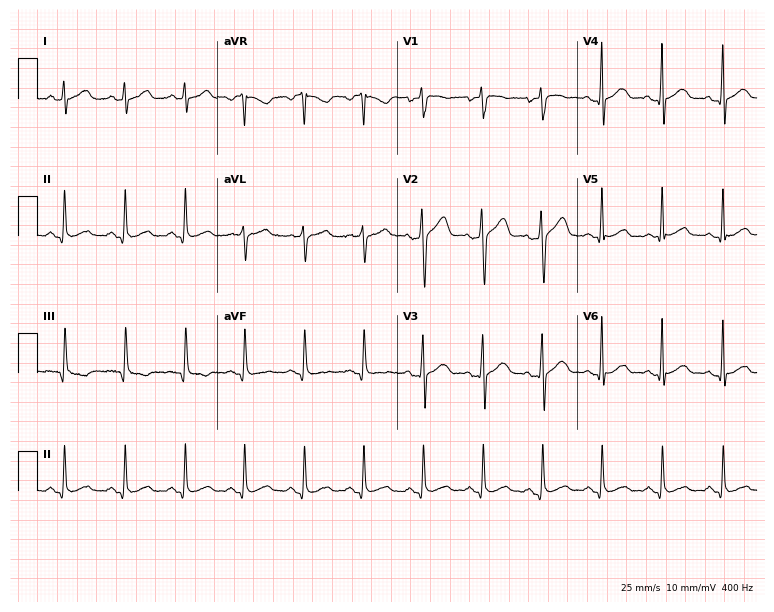
Resting 12-lead electrocardiogram. Patient: a 45-year-old male. Read as a normal ECG.